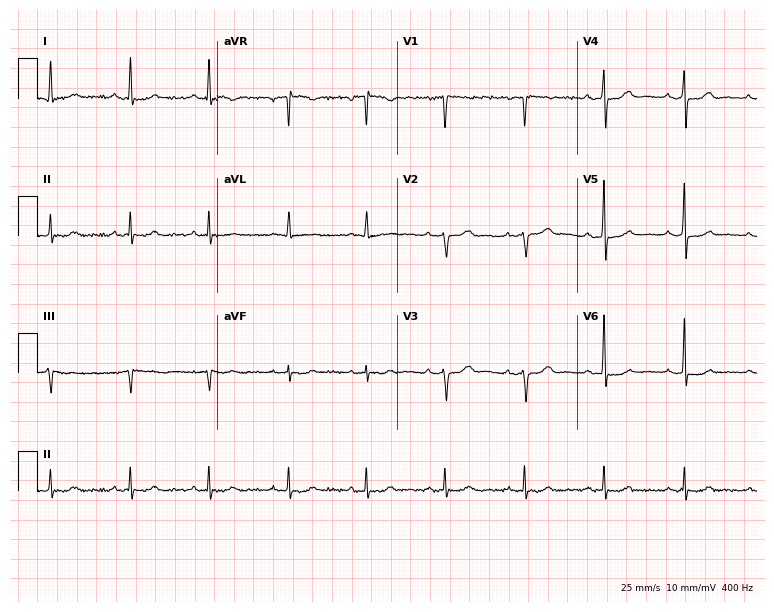
12-lead ECG from a female patient, 65 years old. Recorded interpretation: within normal limits.